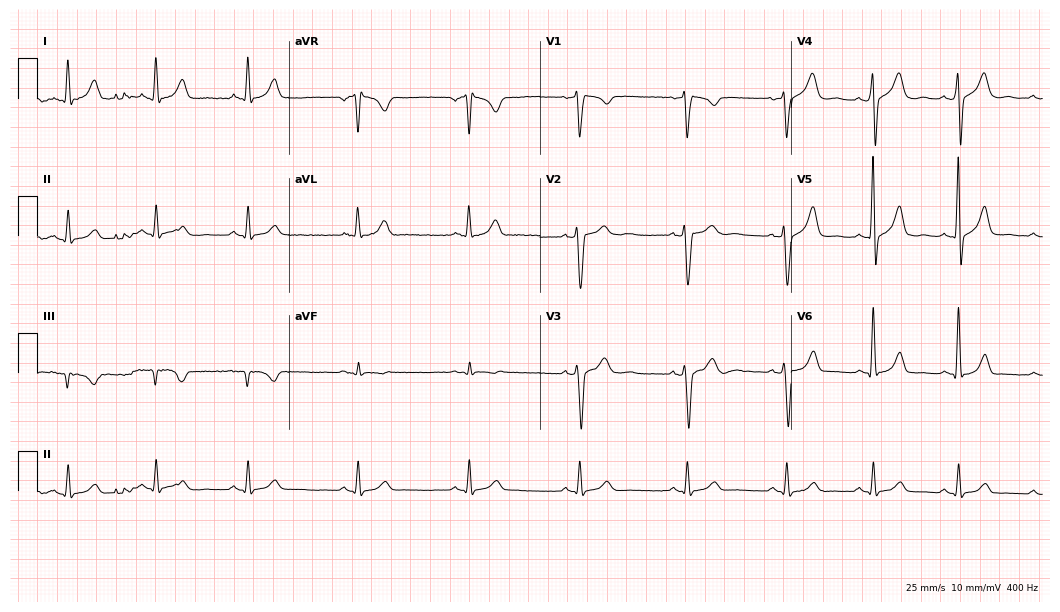
Standard 12-lead ECG recorded from a male patient, 35 years old. None of these six findings is recorded: first-degree AV block, right bundle branch block, left bundle branch block, sinus bradycardia, atrial fibrillation, sinus tachycardia. Findings outside these six are not listed.